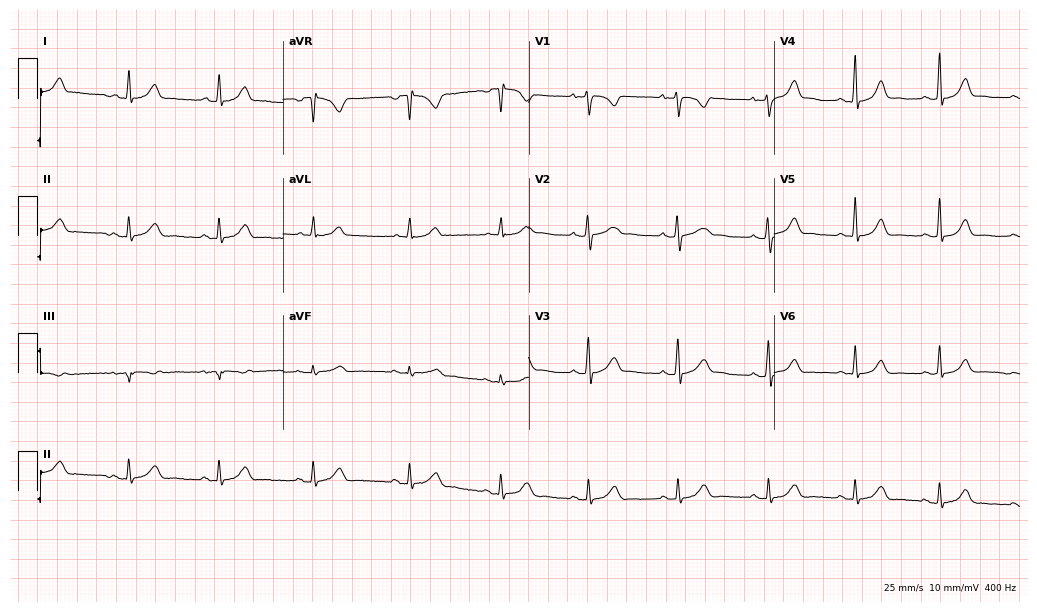
12-lead ECG (10-second recording at 400 Hz) from a 24-year-old female patient. Labelled as a normal ECG.